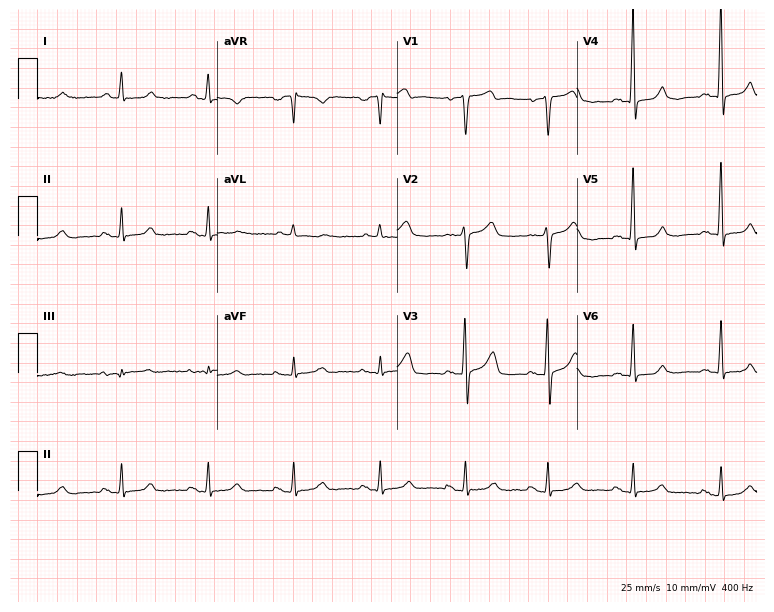
12-lead ECG from a man, 51 years old. Screened for six findings — first-degree AV block, right bundle branch block, left bundle branch block, sinus bradycardia, atrial fibrillation, sinus tachycardia — none is recorded.